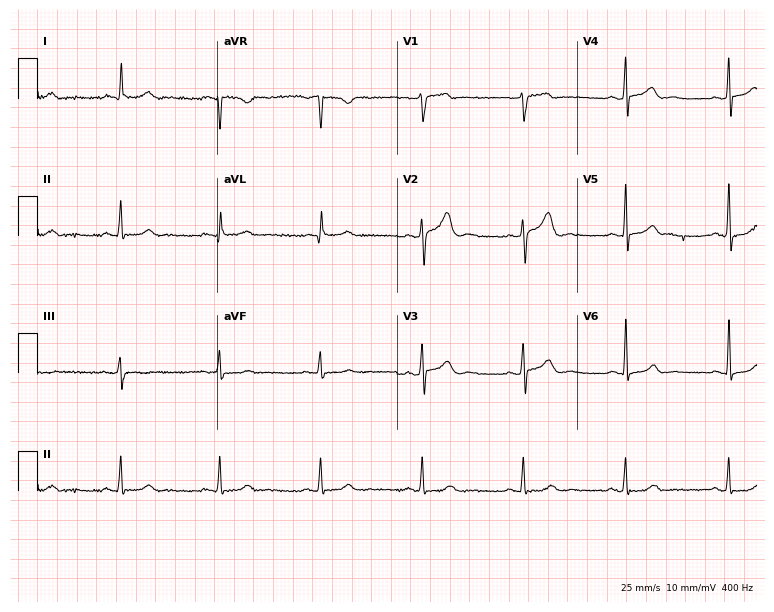
Standard 12-lead ECG recorded from a 70-year-old male patient (7.3-second recording at 400 Hz). None of these six findings is recorded: first-degree AV block, right bundle branch block, left bundle branch block, sinus bradycardia, atrial fibrillation, sinus tachycardia.